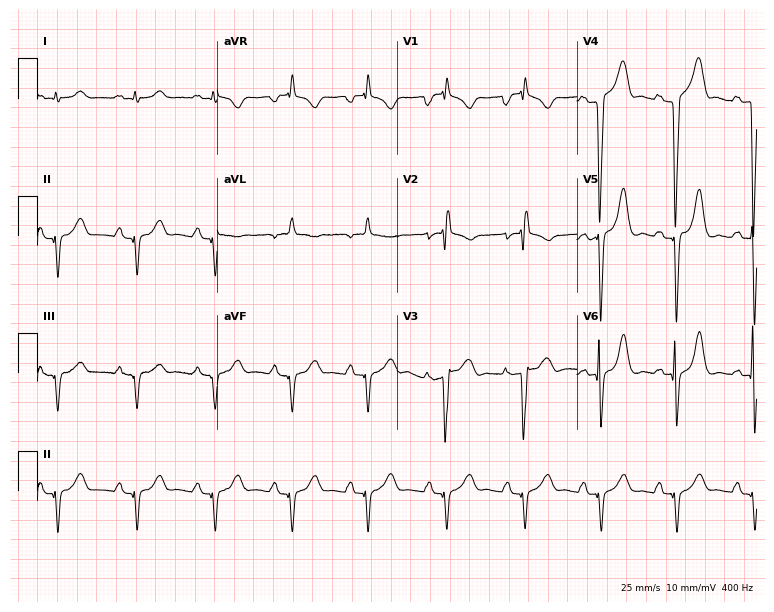
12-lead ECG from a 64-year-old man. No first-degree AV block, right bundle branch block, left bundle branch block, sinus bradycardia, atrial fibrillation or sinus tachycardia recorded for this tracing.